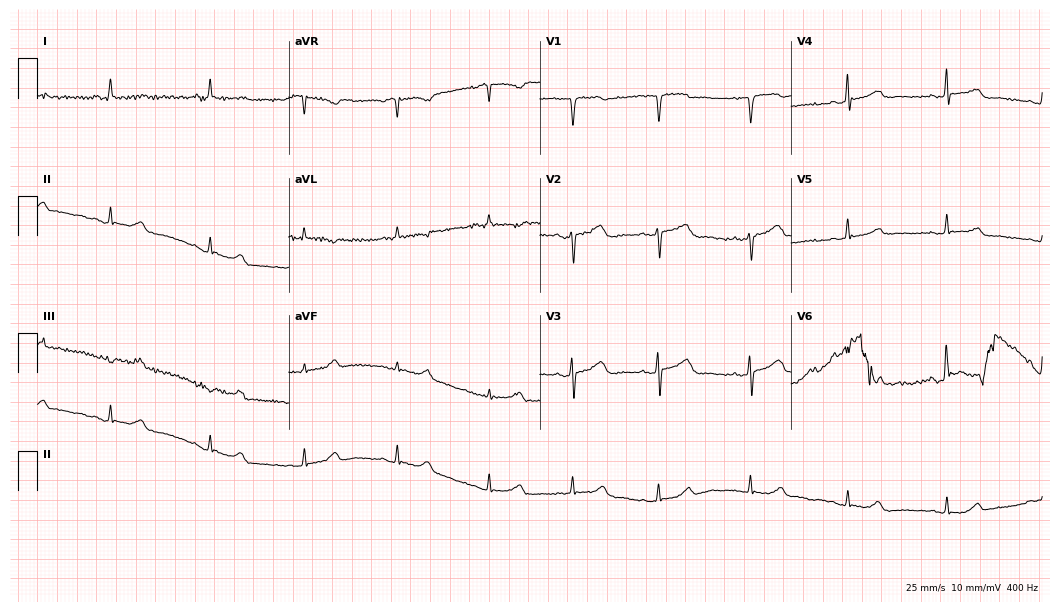
Electrocardiogram, a woman, 46 years old. Overall reading on record: normal ECG.